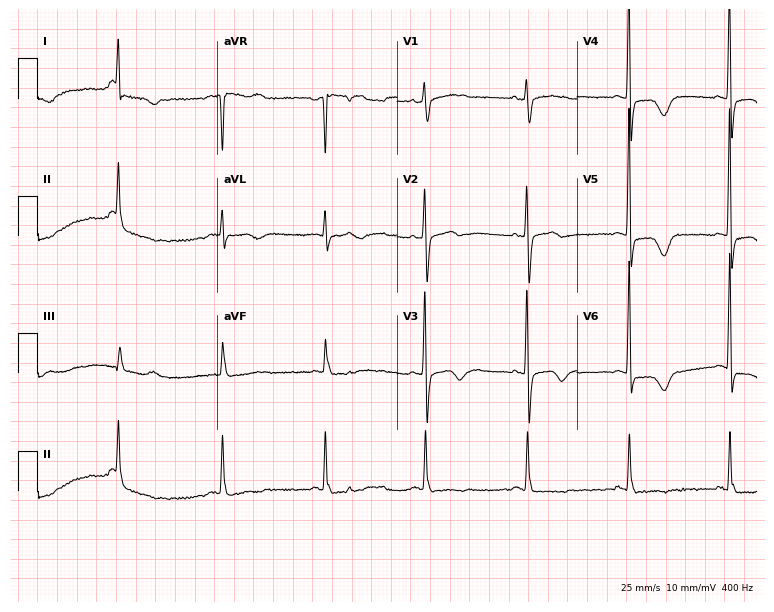
ECG (7.3-second recording at 400 Hz) — a 65-year-old female. Screened for six findings — first-degree AV block, right bundle branch block, left bundle branch block, sinus bradycardia, atrial fibrillation, sinus tachycardia — none is recorded. Only these six findings were labelled.